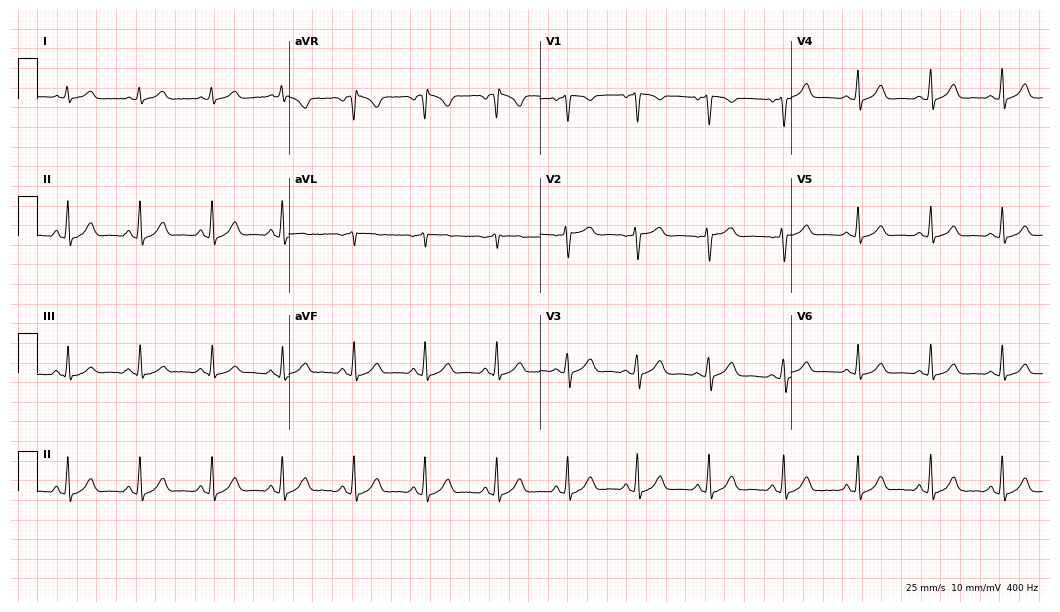
12-lead ECG from a 33-year-old female. Labelled as a normal ECG.